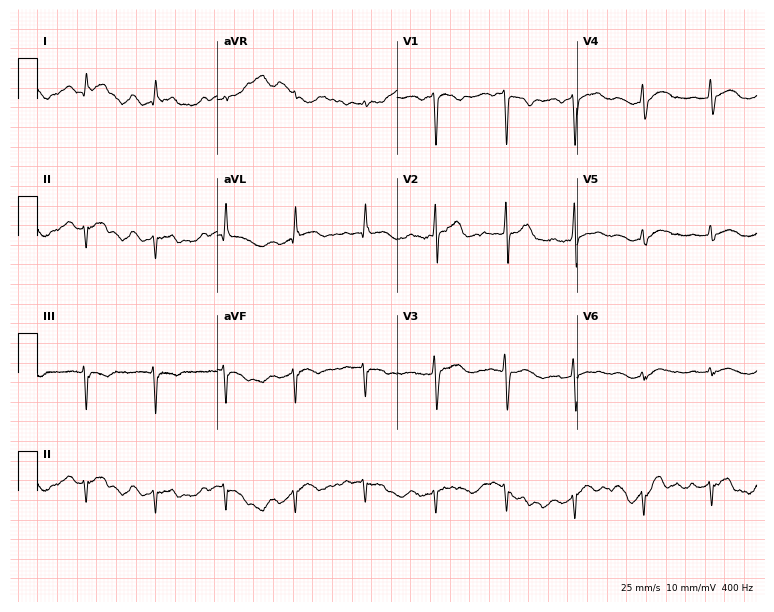
Electrocardiogram (7.3-second recording at 400 Hz), a male, 41 years old. Of the six screened findings (first-degree AV block, right bundle branch block, left bundle branch block, sinus bradycardia, atrial fibrillation, sinus tachycardia), none is recorded.